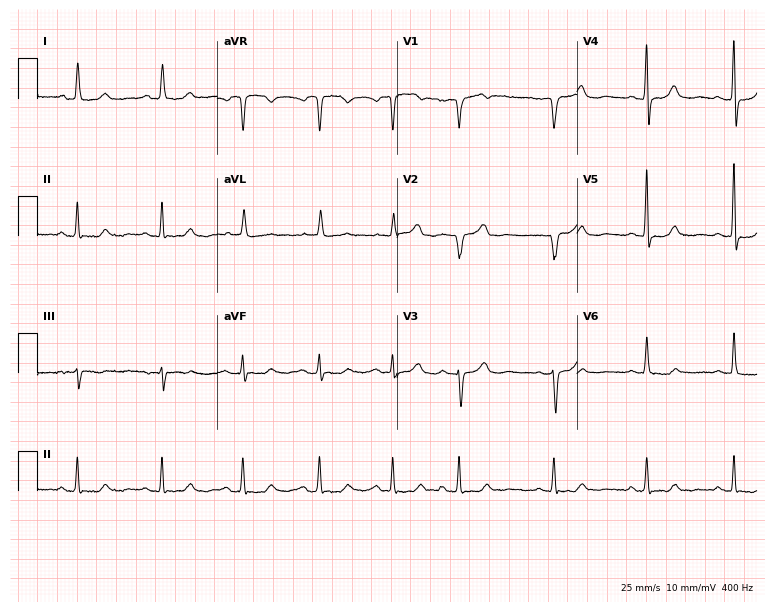
Standard 12-lead ECG recorded from a woman, 82 years old. None of these six findings is recorded: first-degree AV block, right bundle branch block (RBBB), left bundle branch block (LBBB), sinus bradycardia, atrial fibrillation (AF), sinus tachycardia. Findings outside these six are not listed.